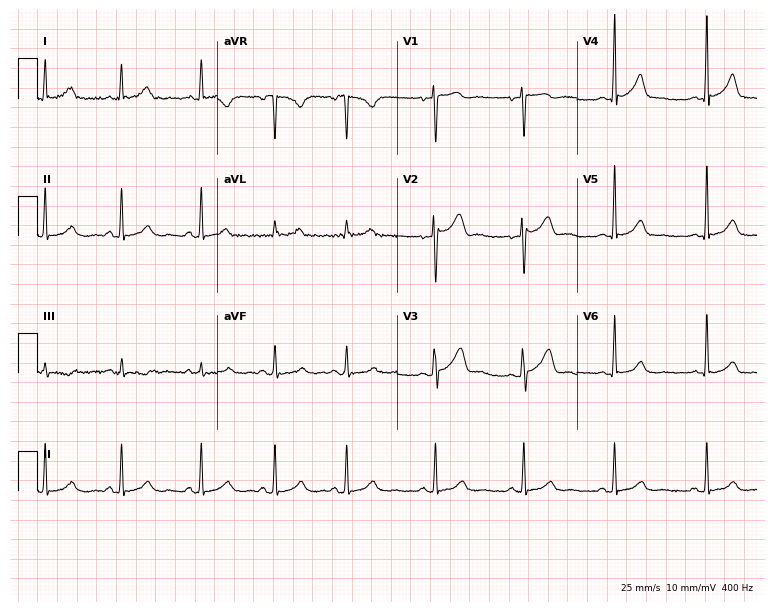
Standard 12-lead ECG recorded from a 37-year-old female patient (7.3-second recording at 400 Hz). Read as a normal ECG.